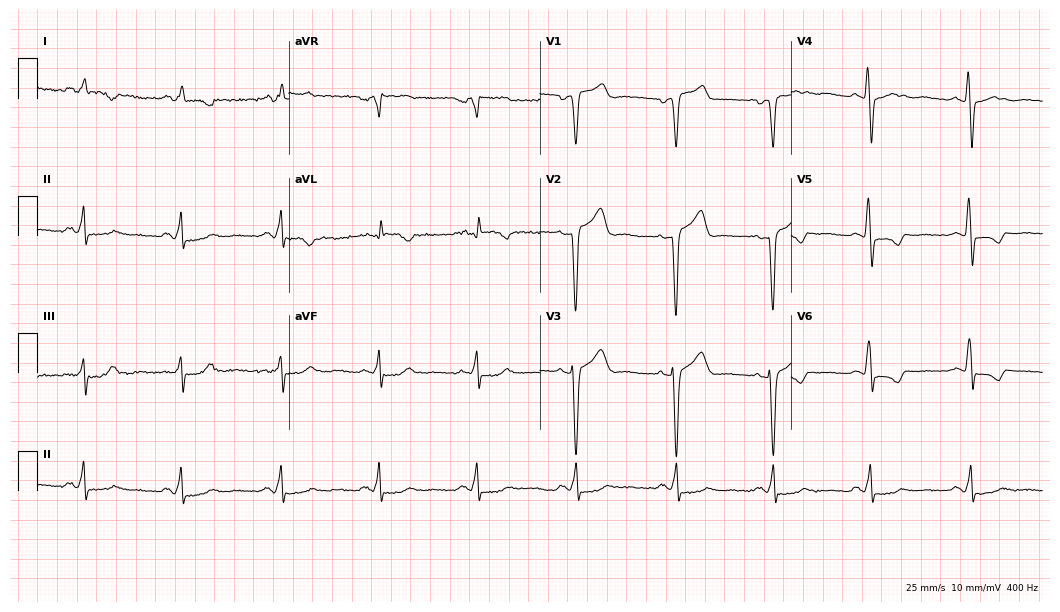
12-lead ECG (10.2-second recording at 400 Hz) from a 56-year-old male patient. Screened for six findings — first-degree AV block, right bundle branch block (RBBB), left bundle branch block (LBBB), sinus bradycardia, atrial fibrillation (AF), sinus tachycardia — none is recorded.